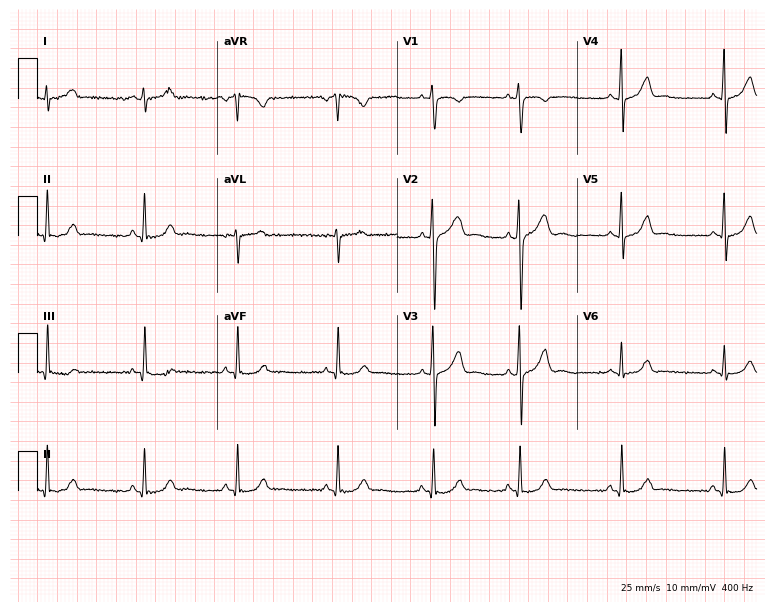
Standard 12-lead ECG recorded from a female patient, 19 years old. None of these six findings is recorded: first-degree AV block, right bundle branch block, left bundle branch block, sinus bradycardia, atrial fibrillation, sinus tachycardia.